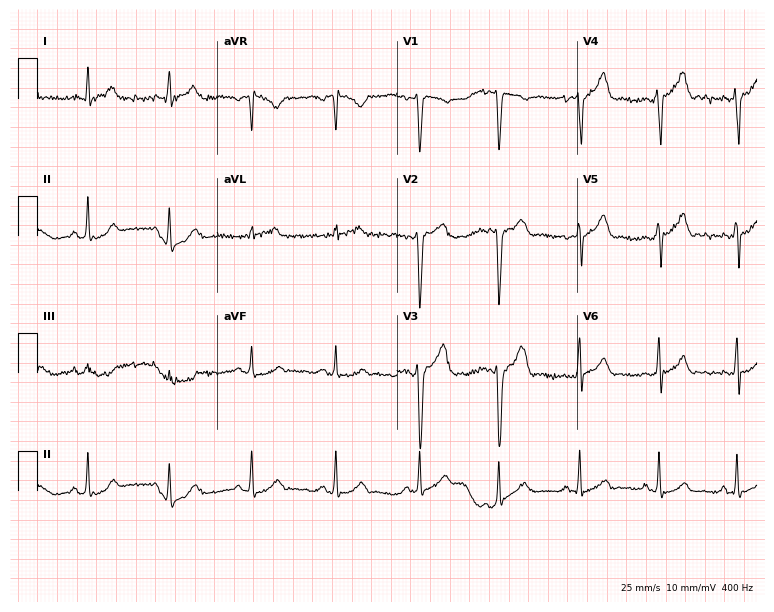
Electrocardiogram, a 24-year-old male. Overall reading on record: normal ECG.